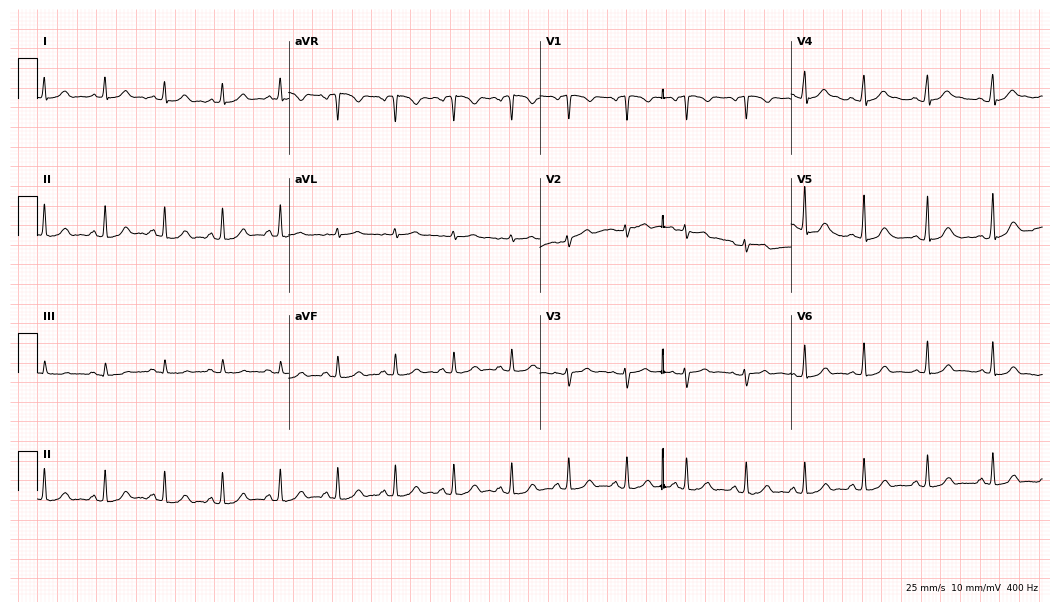
Resting 12-lead electrocardiogram (10.2-second recording at 400 Hz). Patient: a 19-year-old female. Read as a normal ECG.